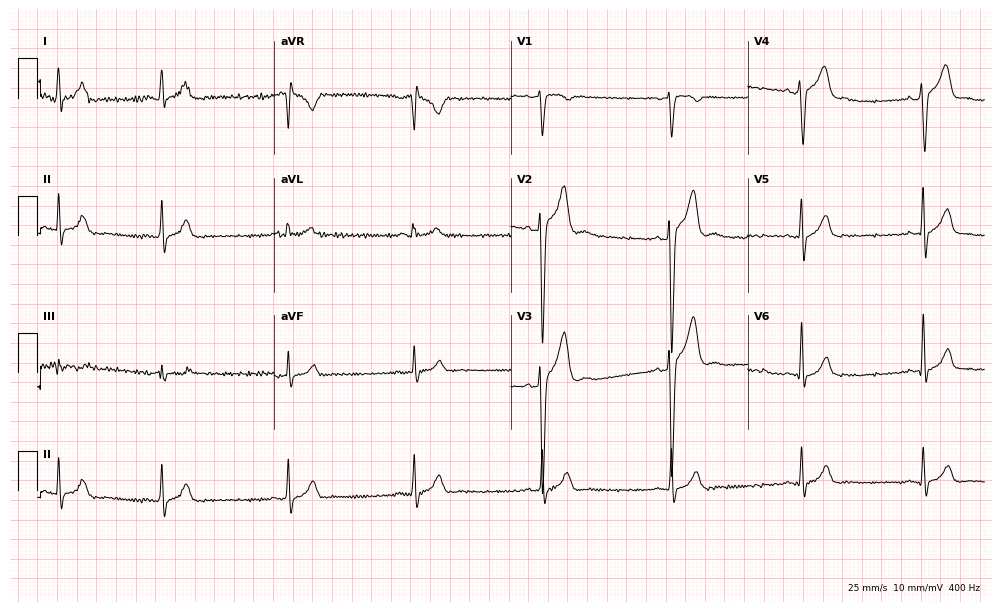
Standard 12-lead ECG recorded from a 23-year-old man (9.7-second recording at 400 Hz). None of these six findings is recorded: first-degree AV block, right bundle branch block, left bundle branch block, sinus bradycardia, atrial fibrillation, sinus tachycardia. Findings outside these six are not listed.